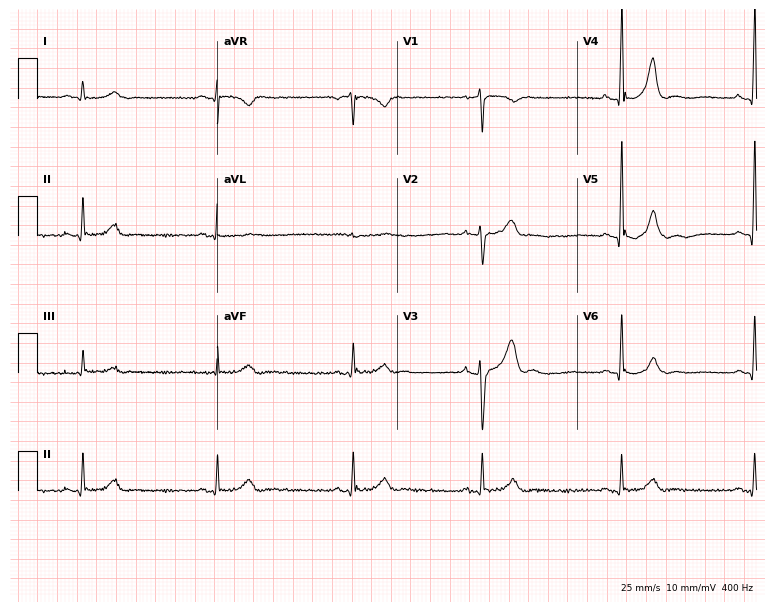
Resting 12-lead electrocardiogram (7.3-second recording at 400 Hz). Patient: a man, 63 years old. The tracing shows sinus bradycardia (a sinus rate of 50 beats per minute or less).